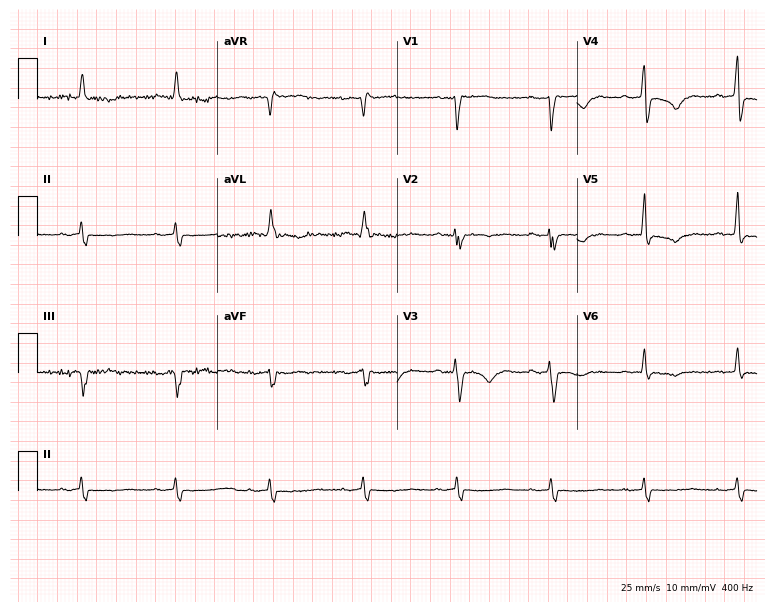
Resting 12-lead electrocardiogram. Patient: a male, 83 years old. The tracing shows right bundle branch block.